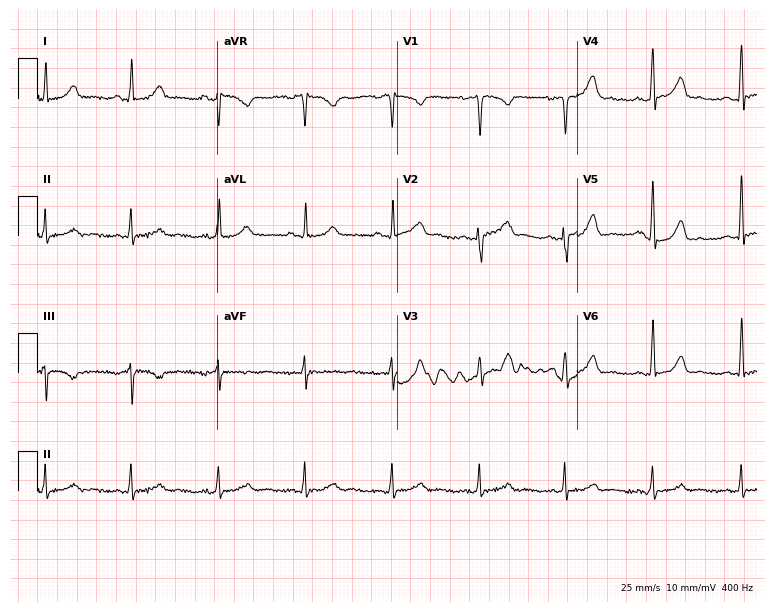
Resting 12-lead electrocardiogram (7.3-second recording at 400 Hz). Patient: a 28-year-old female. Read as a normal ECG.